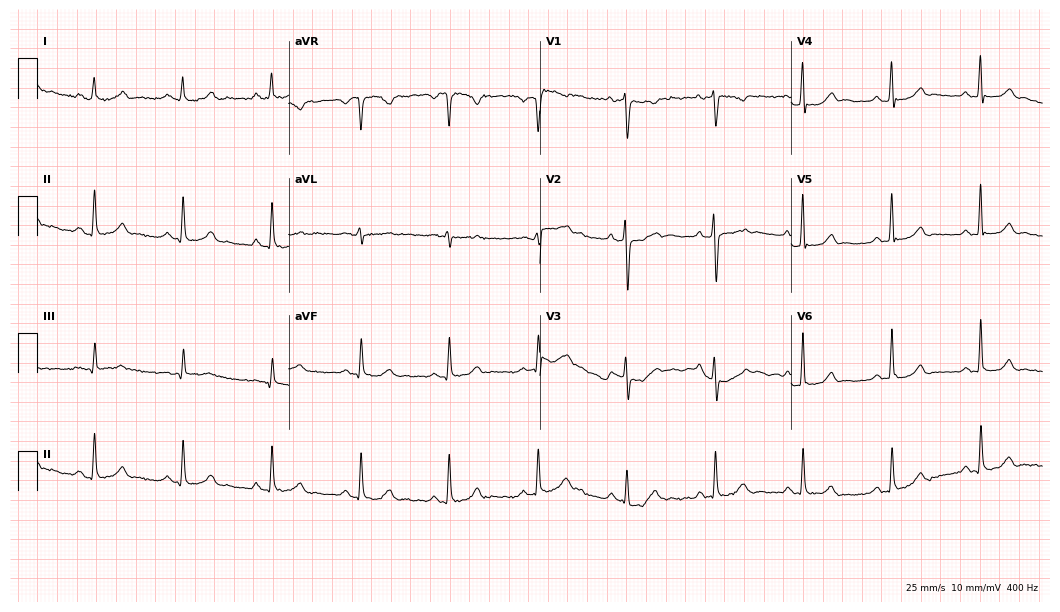
Electrocardiogram (10.2-second recording at 400 Hz), a 58-year-old female patient. Overall reading on record: normal ECG.